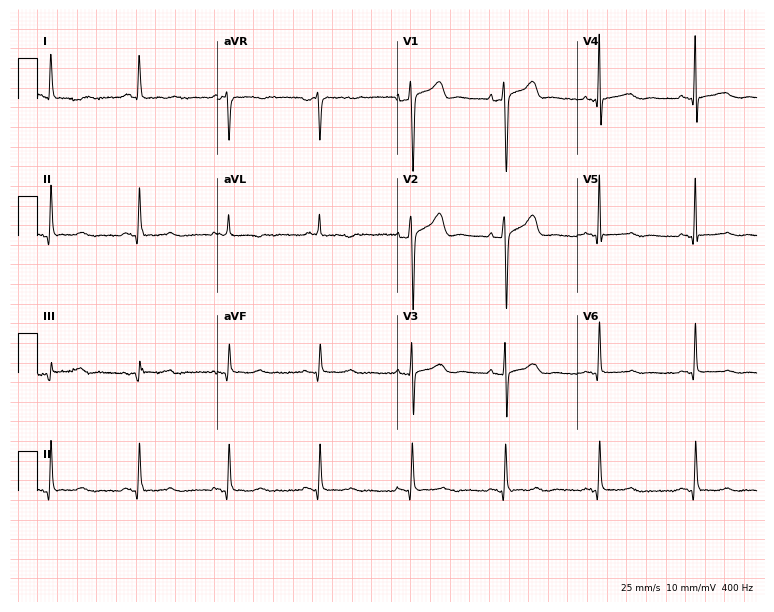
12-lead ECG from a female, 63 years old. No first-degree AV block, right bundle branch block, left bundle branch block, sinus bradycardia, atrial fibrillation or sinus tachycardia recorded for this tracing. Findings outside these six are not listed.